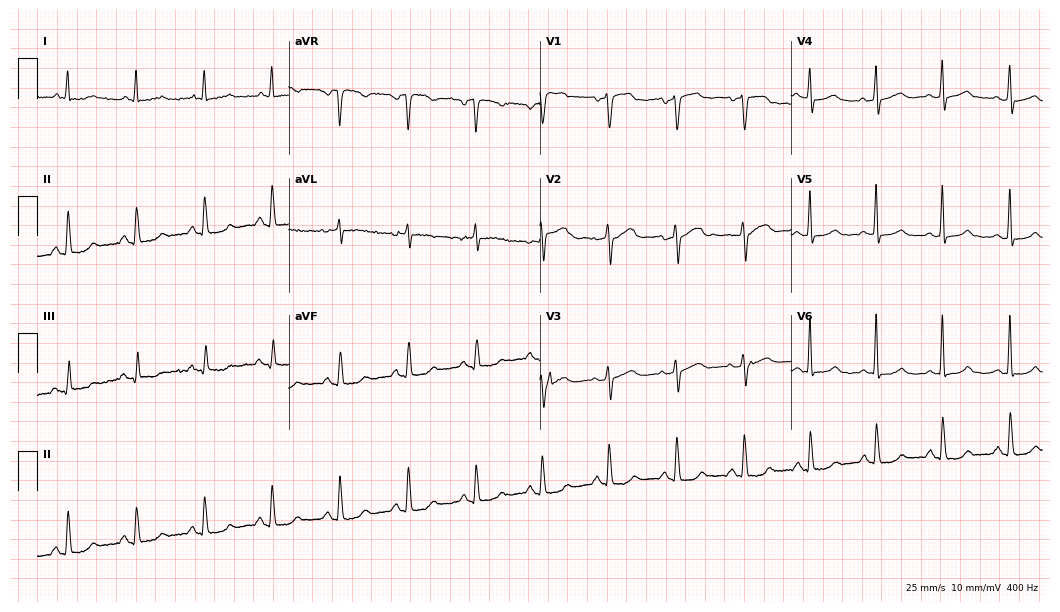
12-lead ECG from a woman, 78 years old. Labelled as a normal ECG.